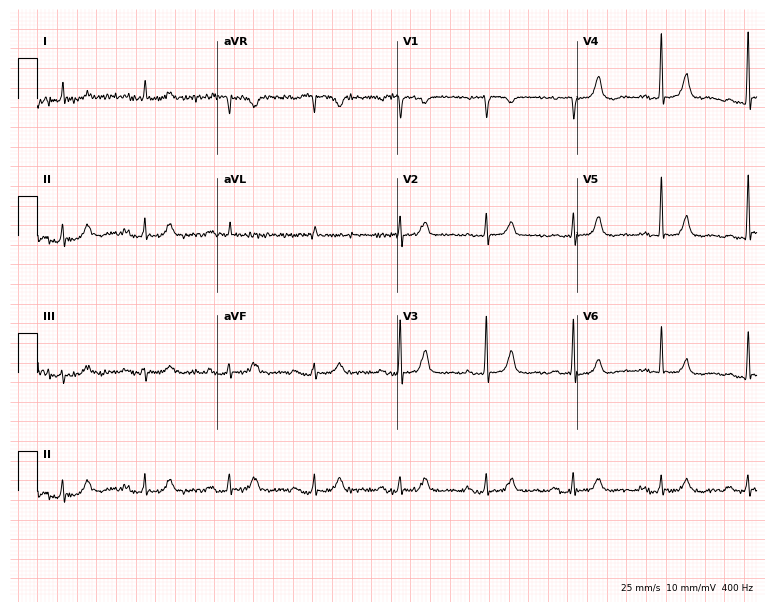
12-lead ECG from a male patient, 85 years old. Labelled as a normal ECG.